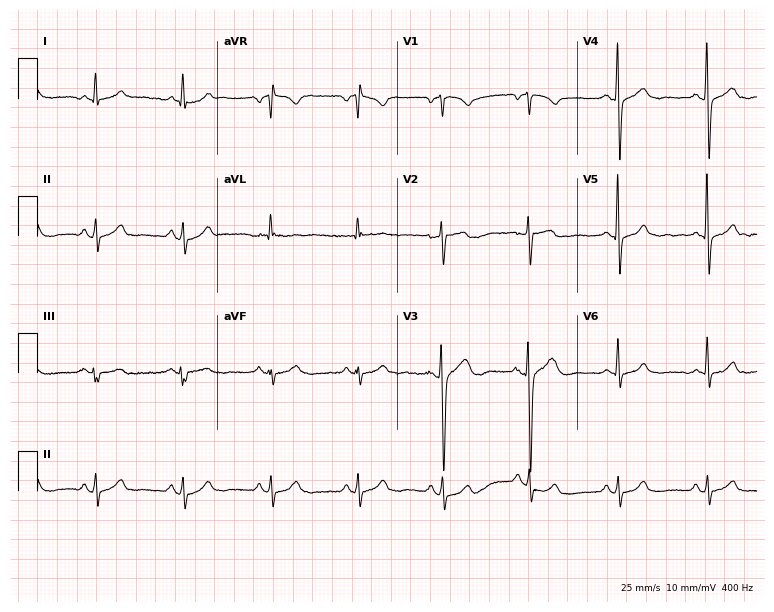
ECG (7.3-second recording at 400 Hz) — a male patient, 52 years old. Screened for six findings — first-degree AV block, right bundle branch block (RBBB), left bundle branch block (LBBB), sinus bradycardia, atrial fibrillation (AF), sinus tachycardia — none is recorded. Only these six findings were labelled.